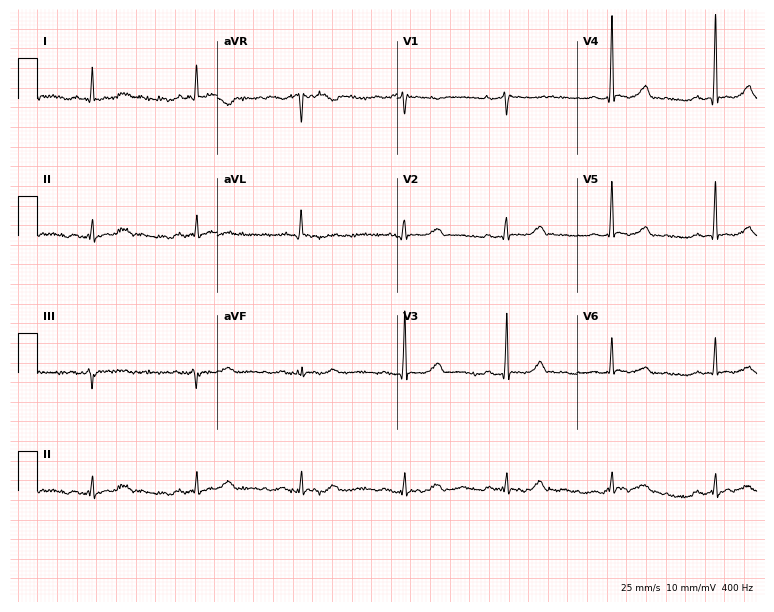
Resting 12-lead electrocardiogram (7.3-second recording at 400 Hz). Patient: a female, 81 years old. Read as a normal ECG.